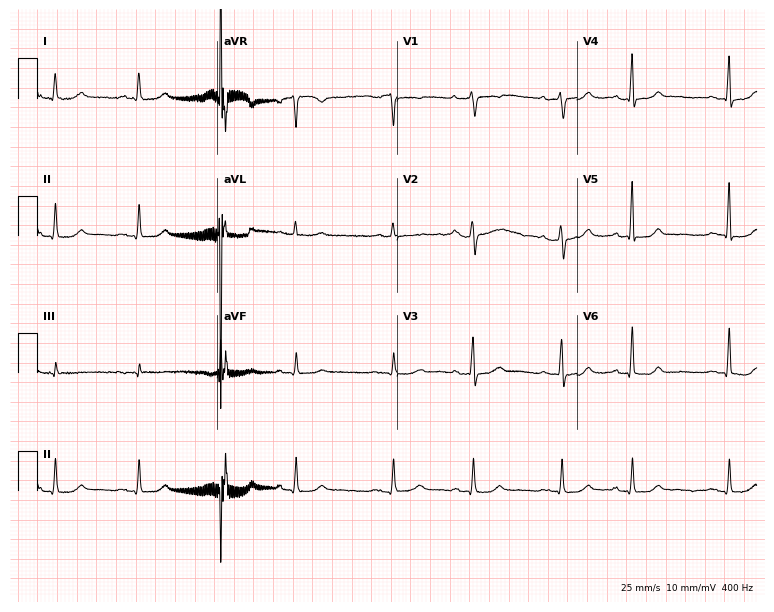
Resting 12-lead electrocardiogram. Patient: an 84-year-old female. None of these six findings is recorded: first-degree AV block, right bundle branch block, left bundle branch block, sinus bradycardia, atrial fibrillation, sinus tachycardia.